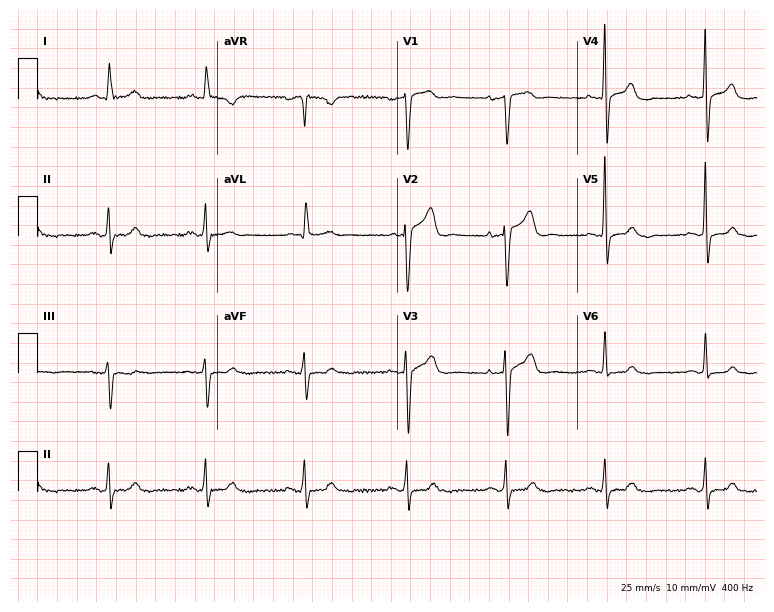
ECG (7.3-second recording at 400 Hz) — a male patient, 77 years old. Screened for six findings — first-degree AV block, right bundle branch block, left bundle branch block, sinus bradycardia, atrial fibrillation, sinus tachycardia — none is recorded. Other findings, if any, are not listed.